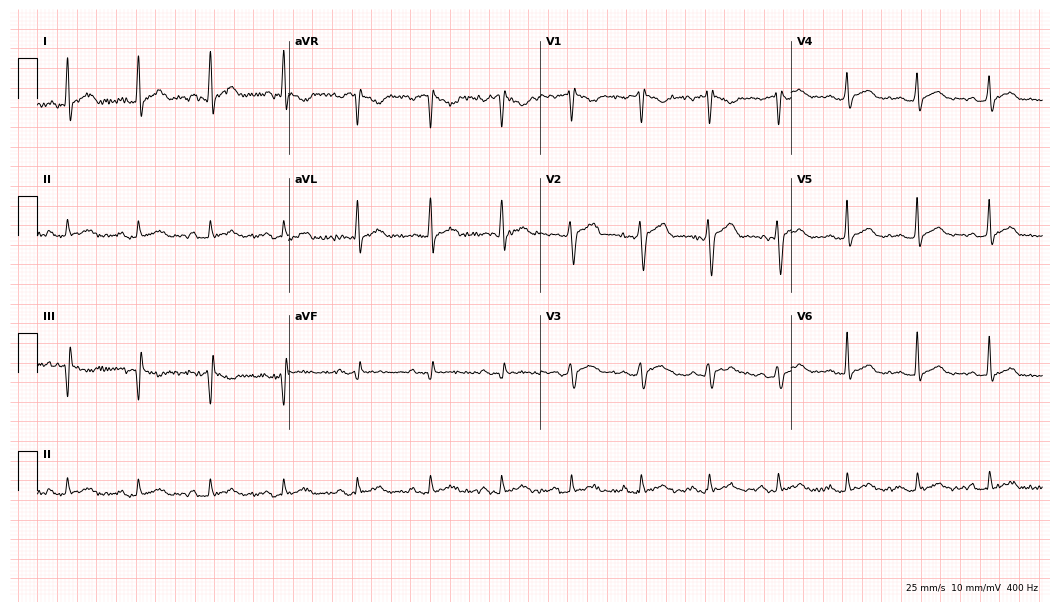
12-lead ECG from a male, 33 years old (10.2-second recording at 400 Hz). Recorded interpretation: within normal limits.